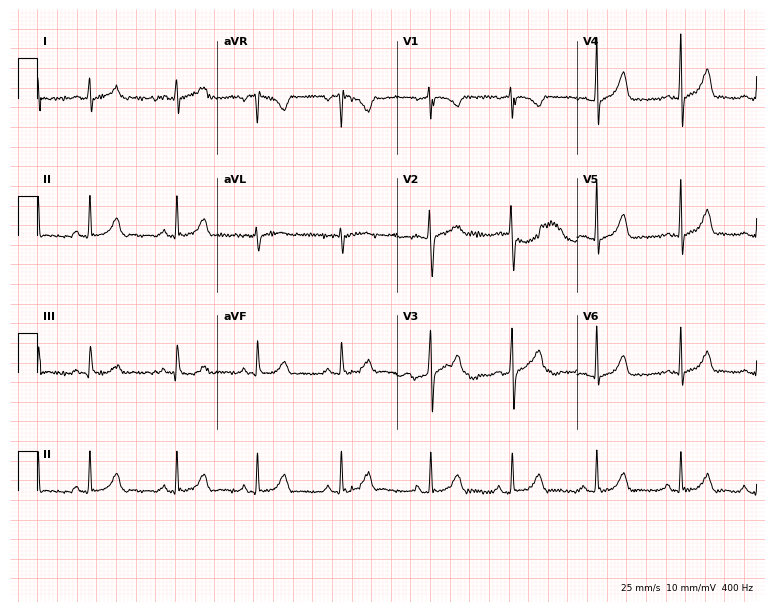
12-lead ECG from a female patient, 18 years old. Recorded interpretation: within normal limits.